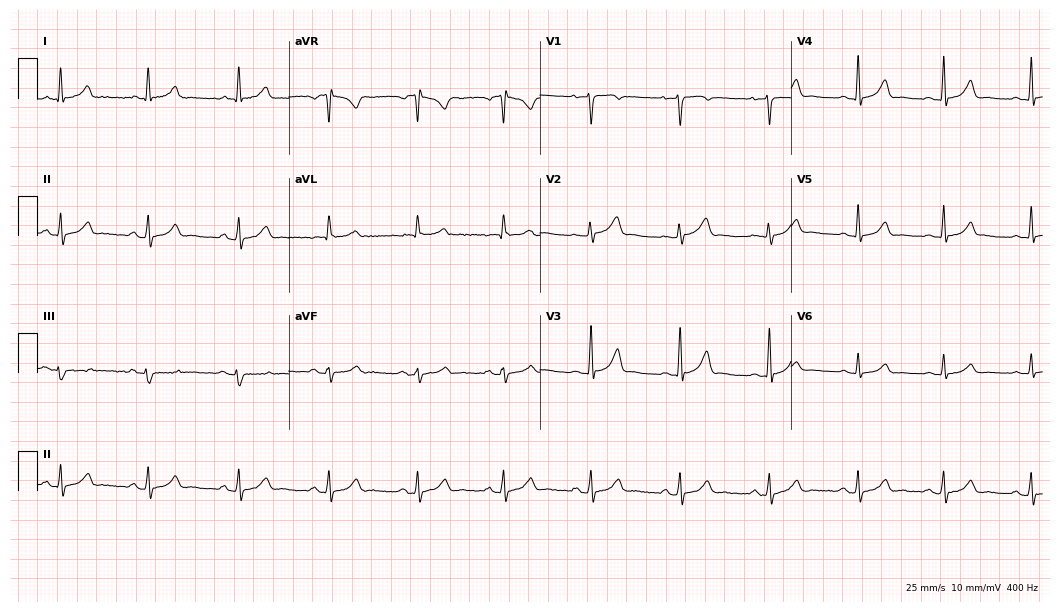
Resting 12-lead electrocardiogram (10.2-second recording at 400 Hz). Patient: a female, 33 years old. Read as a normal ECG.